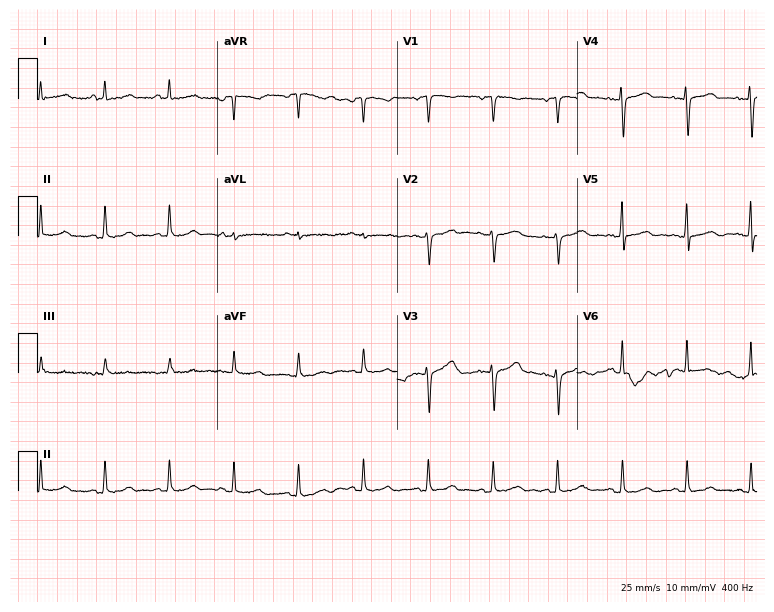
12-lead ECG from a female, 44 years old. Screened for six findings — first-degree AV block, right bundle branch block, left bundle branch block, sinus bradycardia, atrial fibrillation, sinus tachycardia — none is recorded.